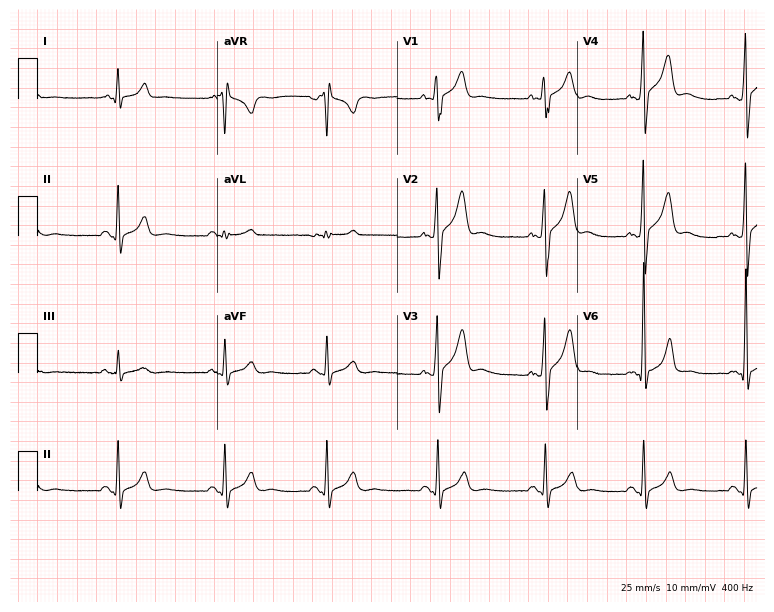
12-lead ECG (7.3-second recording at 400 Hz) from a 26-year-old male patient. Screened for six findings — first-degree AV block, right bundle branch block, left bundle branch block, sinus bradycardia, atrial fibrillation, sinus tachycardia — none is recorded.